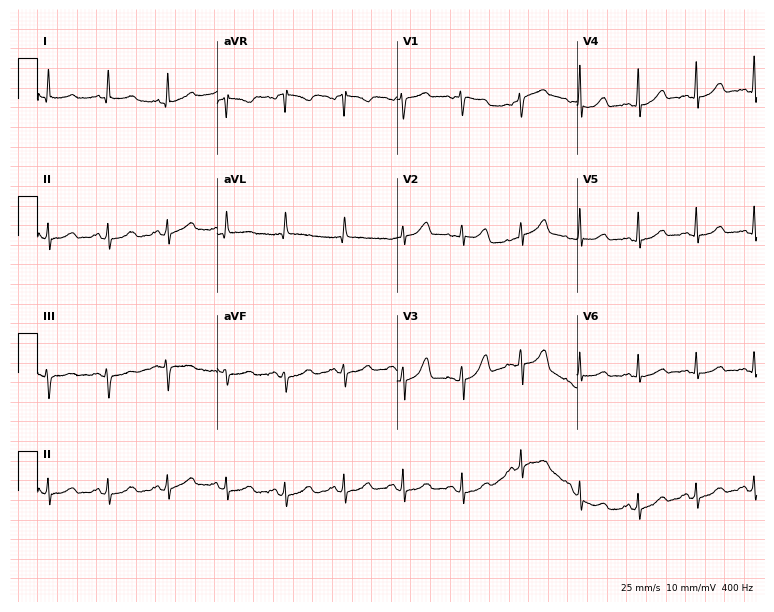
12-lead ECG from a female patient, 58 years old. Findings include sinus tachycardia (a sinus rate of 100 beats per minute or more).